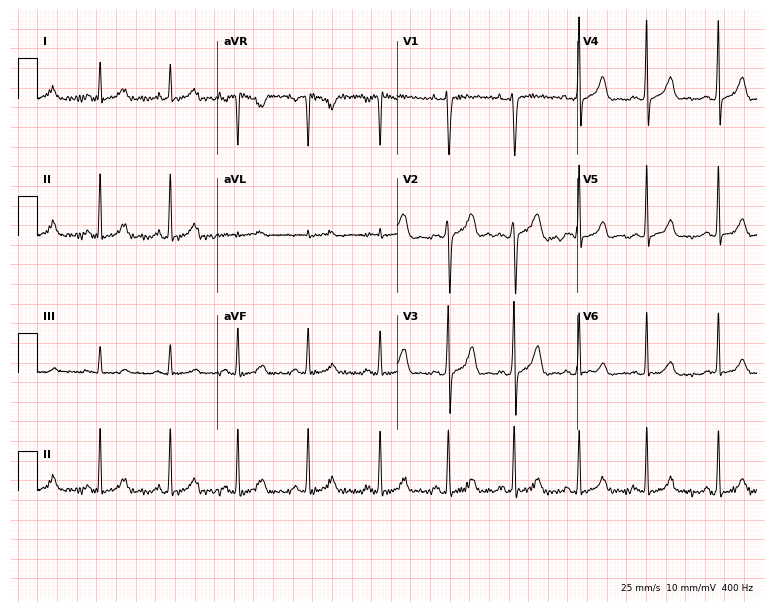
12-lead ECG (7.3-second recording at 400 Hz) from a 30-year-old female. Labelled as a normal ECG.